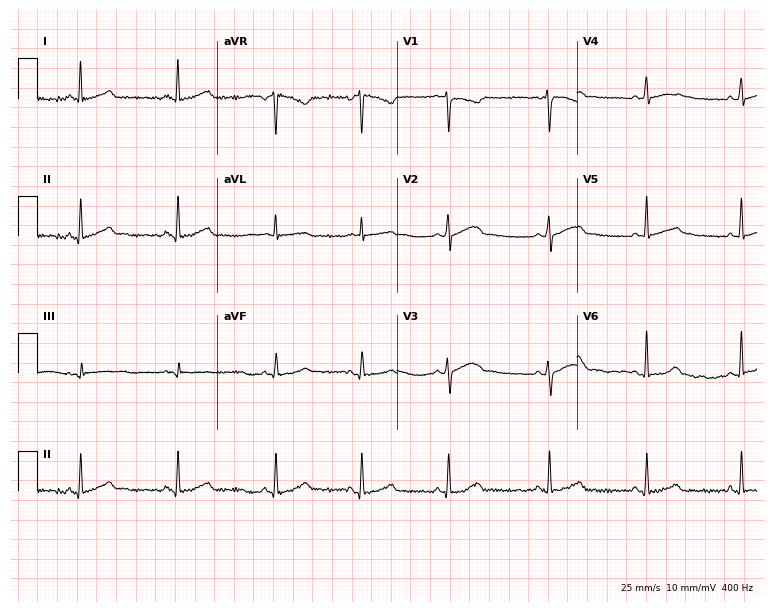
12-lead ECG from a female patient, 23 years old (7.3-second recording at 400 Hz). Recorded interpretation: within normal limits.